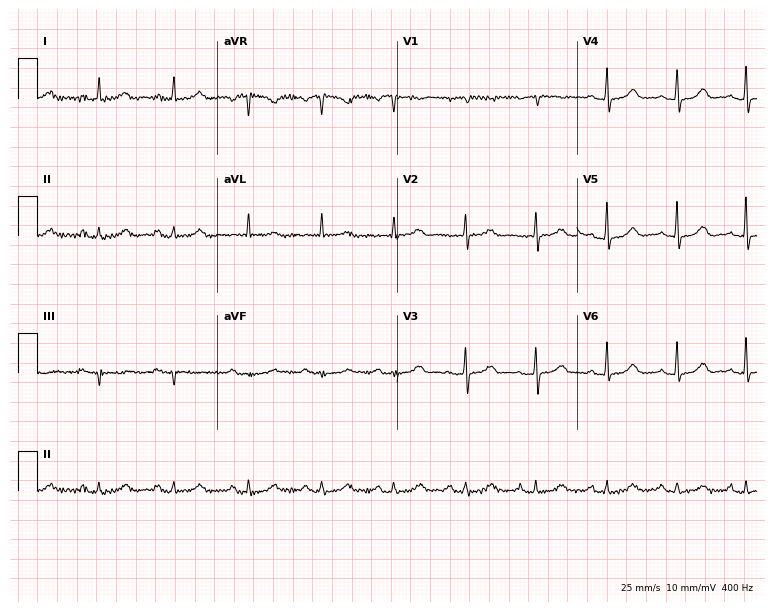
Standard 12-lead ECG recorded from a 63-year-old female. Read as a normal ECG.